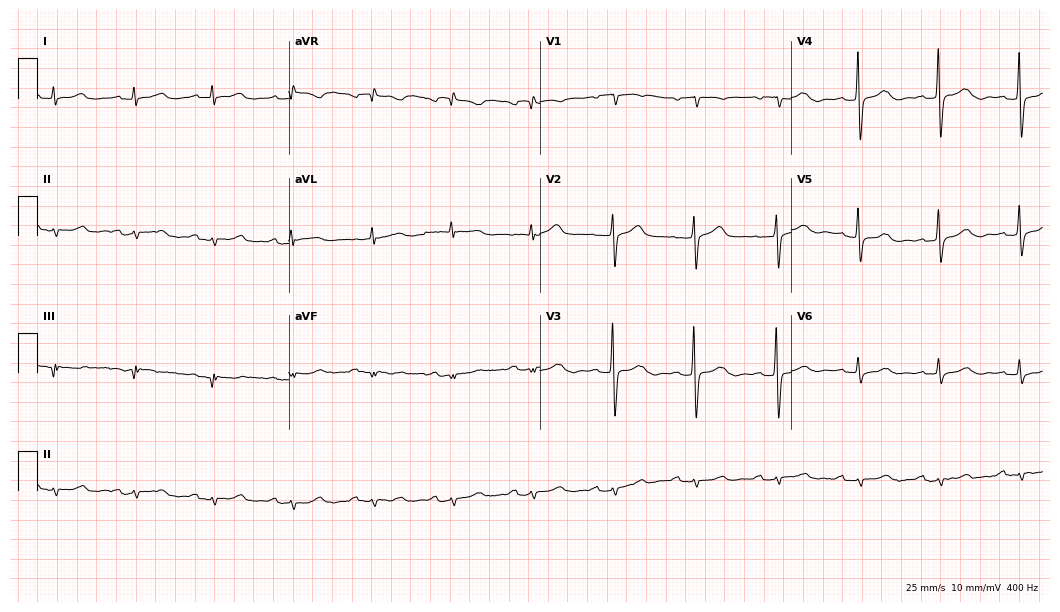
Resting 12-lead electrocardiogram. Patient: a 63-year-old female. The tracing shows first-degree AV block.